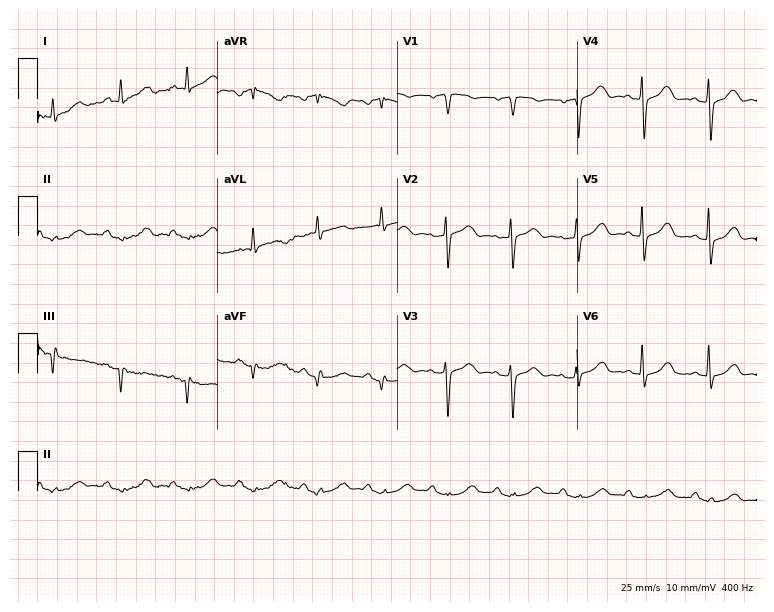
ECG — a female, 83 years old. Screened for six findings — first-degree AV block, right bundle branch block, left bundle branch block, sinus bradycardia, atrial fibrillation, sinus tachycardia — none is recorded.